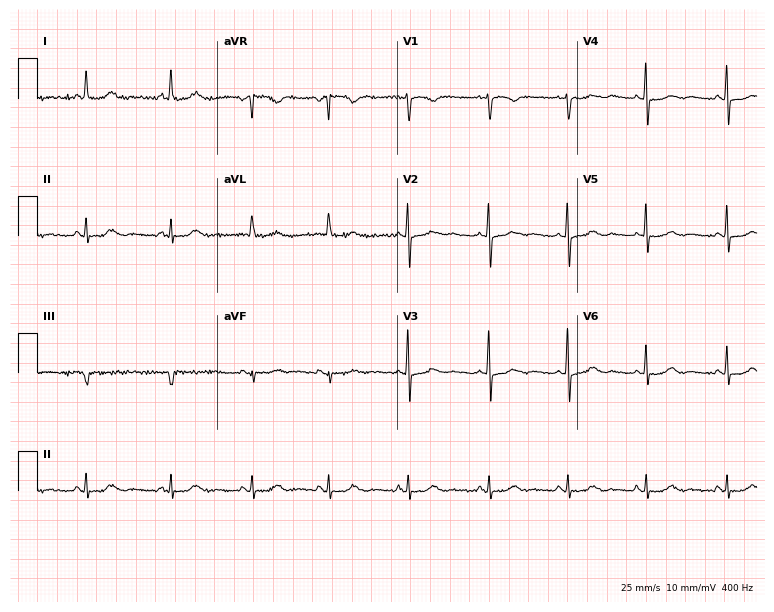
12-lead ECG from a woman, 58 years old (7.3-second recording at 400 Hz). No first-degree AV block, right bundle branch block (RBBB), left bundle branch block (LBBB), sinus bradycardia, atrial fibrillation (AF) or sinus tachycardia recorded for this tracing. Other findings, if any, are not listed.